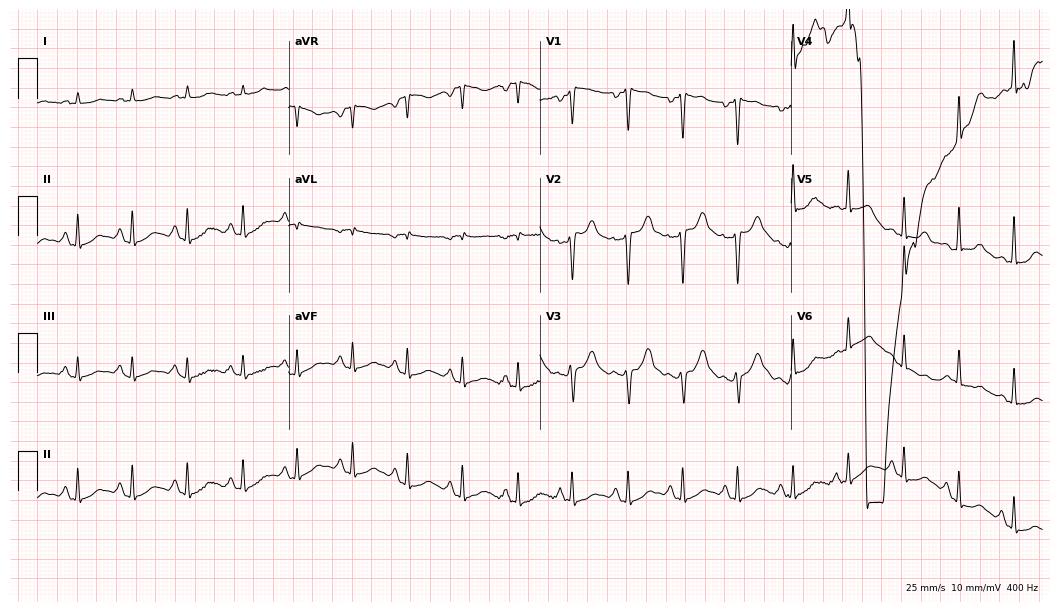
ECG (10.2-second recording at 400 Hz) — a man, 37 years old. Findings include sinus tachycardia (a sinus rate of 100 beats per minute or more).